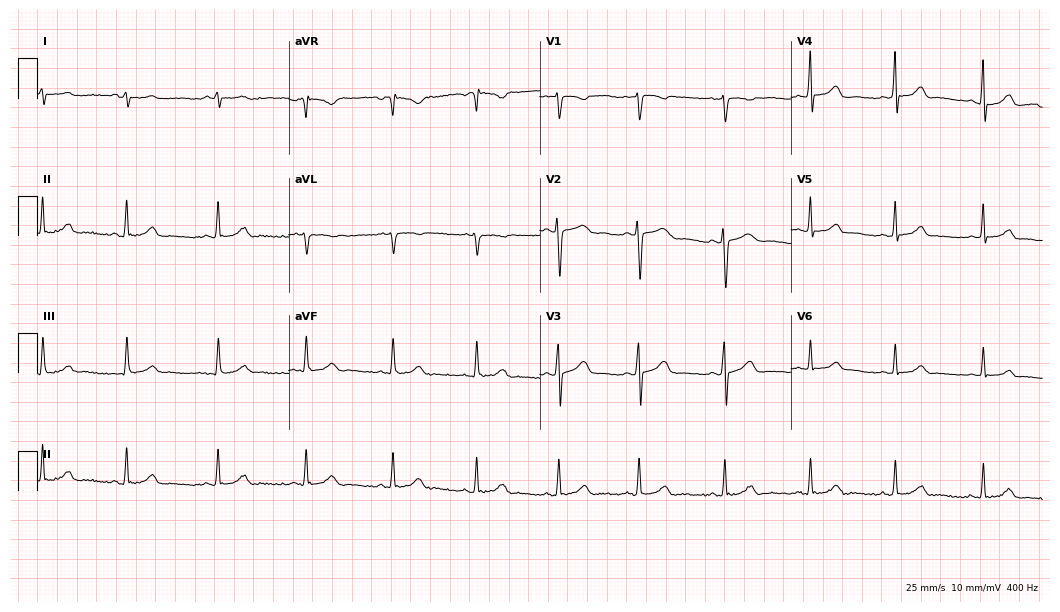
ECG — a 17-year-old female. Labelled as a normal ECG.